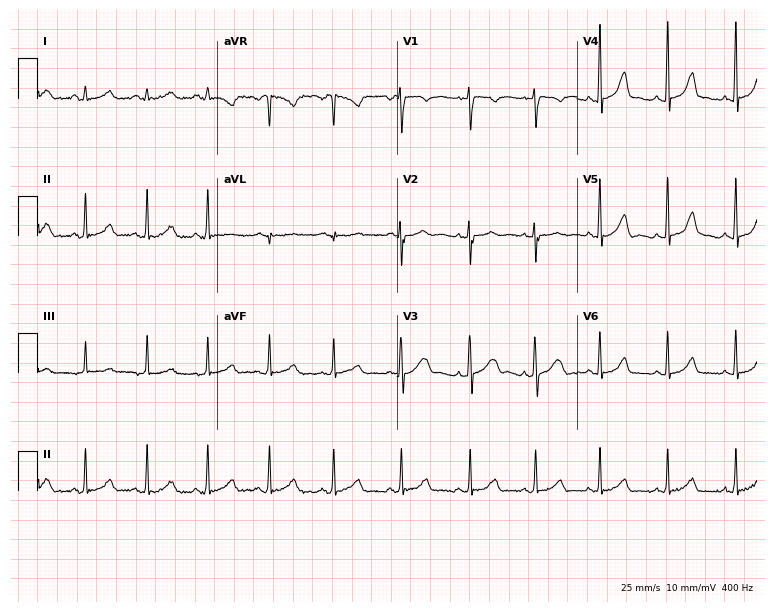
Electrocardiogram, a 19-year-old woman. Overall reading on record: normal ECG.